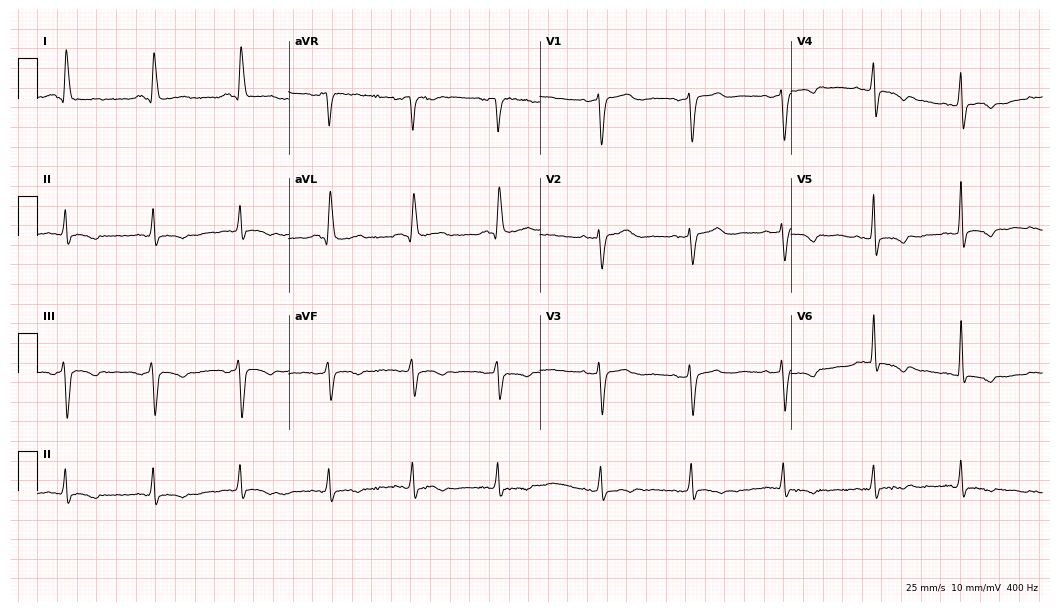
12-lead ECG from a female patient, 73 years old. Screened for six findings — first-degree AV block, right bundle branch block, left bundle branch block, sinus bradycardia, atrial fibrillation, sinus tachycardia — none is recorded.